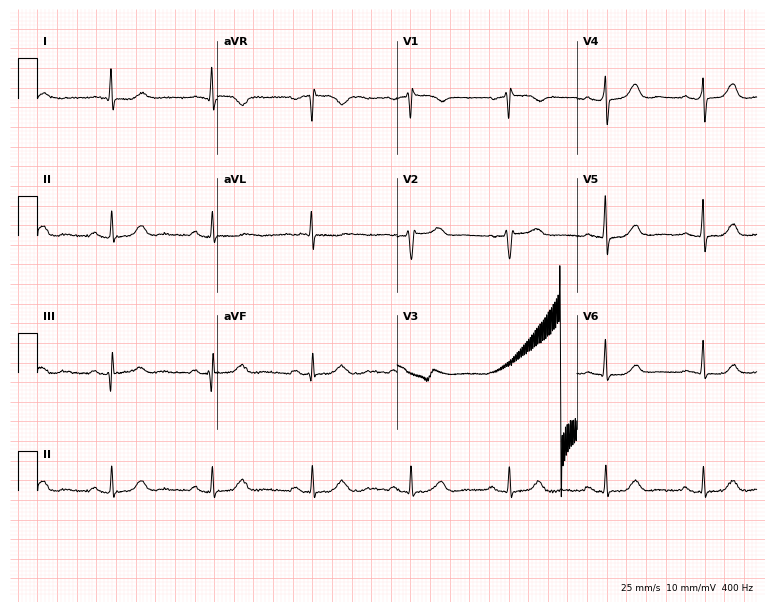
12-lead ECG from a female patient, 85 years old. No first-degree AV block, right bundle branch block, left bundle branch block, sinus bradycardia, atrial fibrillation or sinus tachycardia recorded for this tracing. Only these six findings were labelled.